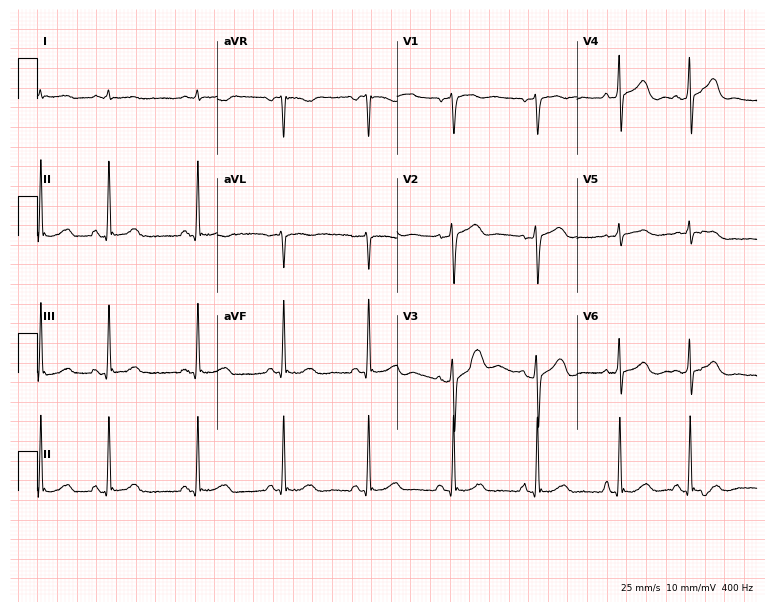
Standard 12-lead ECG recorded from a 78-year-old male patient. Read as a normal ECG.